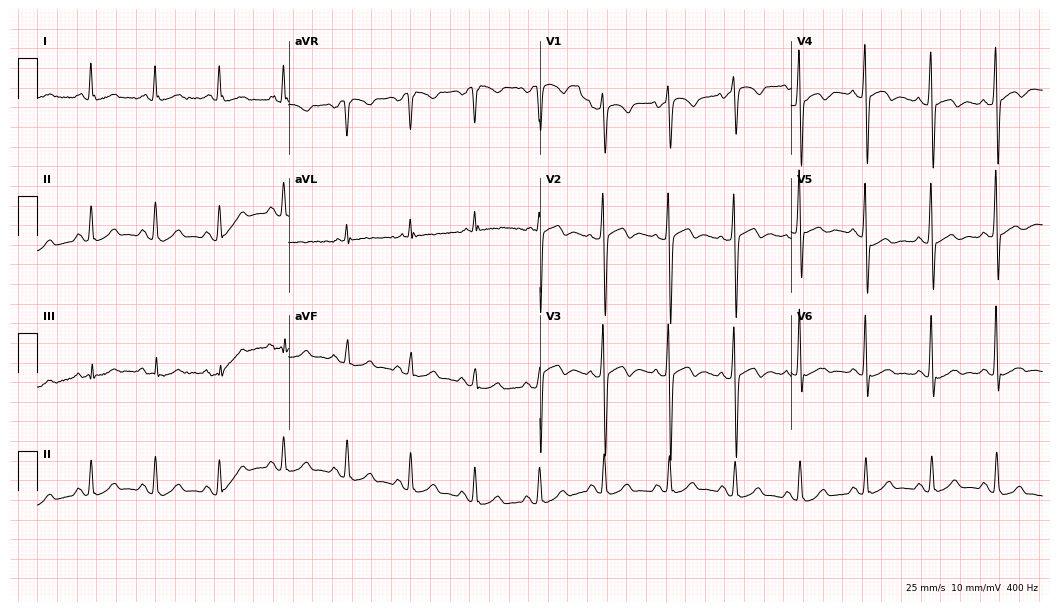
Electrocardiogram (10.2-second recording at 400 Hz), a man, 72 years old. Overall reading on record: normal ECG.